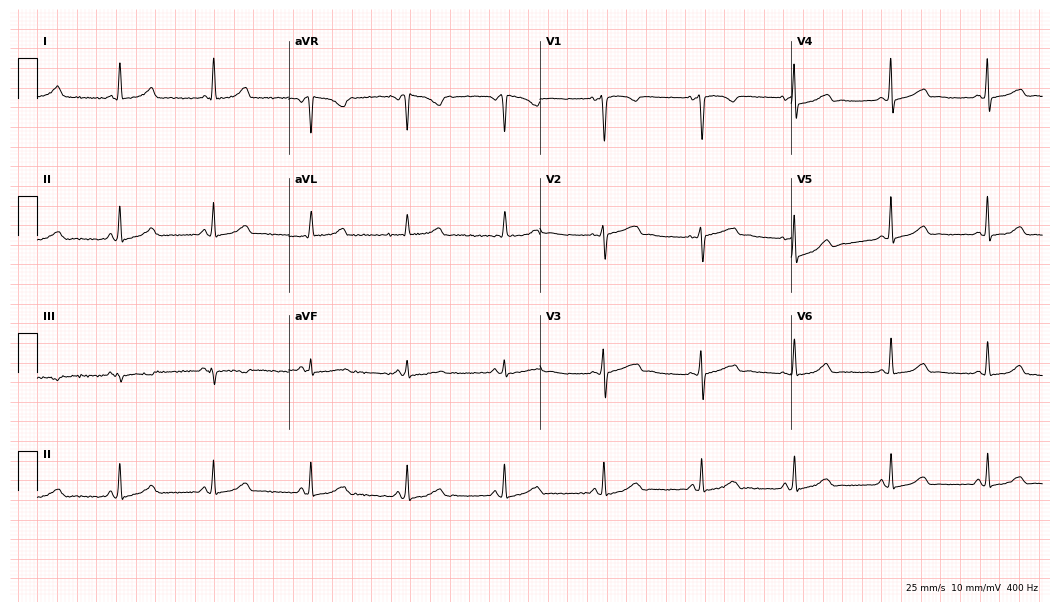
Resting 12-lead electrocardiogram. Patient: a female, 45 years old. Read as a normal ECG.